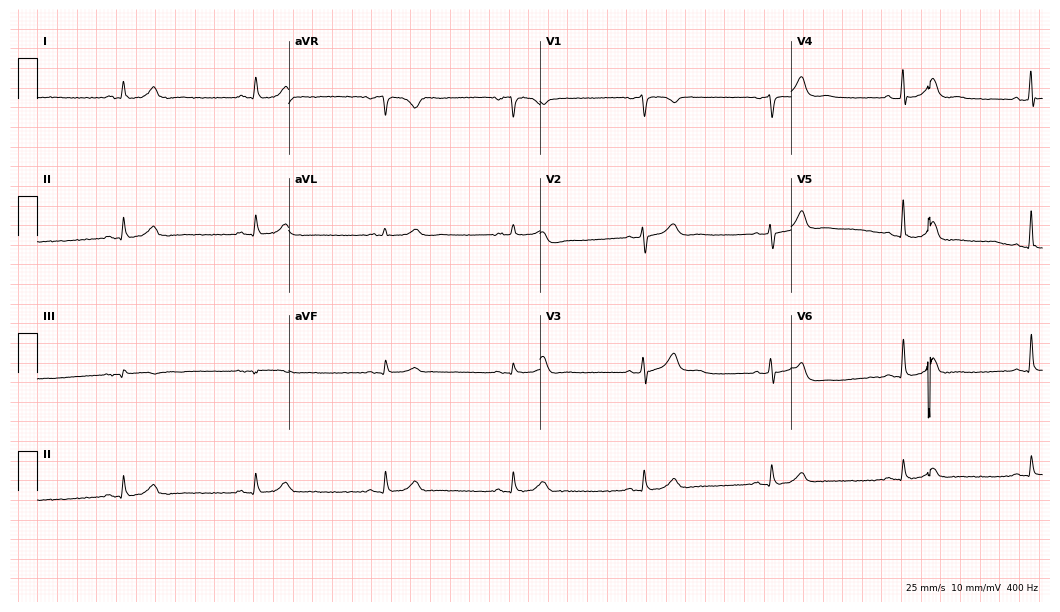
Resting 12-lead electrocardiogram. Patient: a 61-year-old male. None of these six findings is recorded: first-degree AV block, right bundle branch block, left bundle branch block, sinus bradycardia, atrial fibrillation, sinus tachycardia.